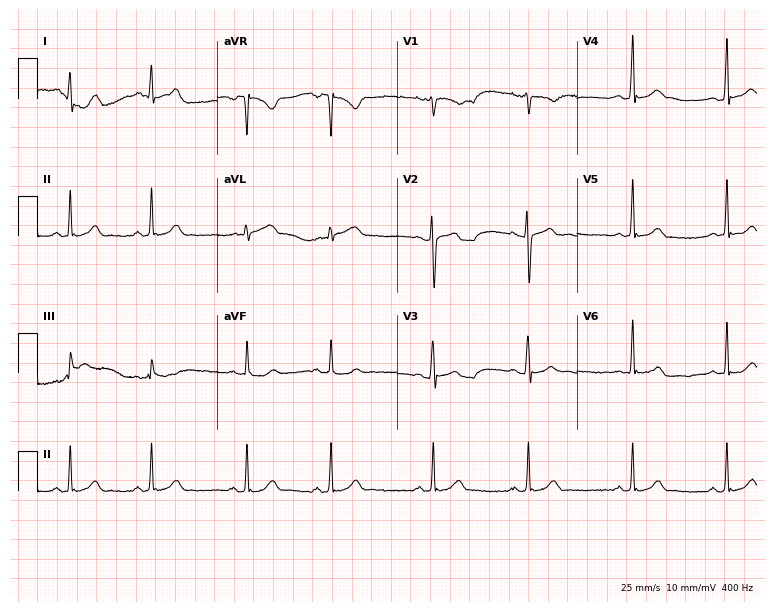
Standard 12-lead ECG recorded from a 17-year-old man. Read as a normal ECG.